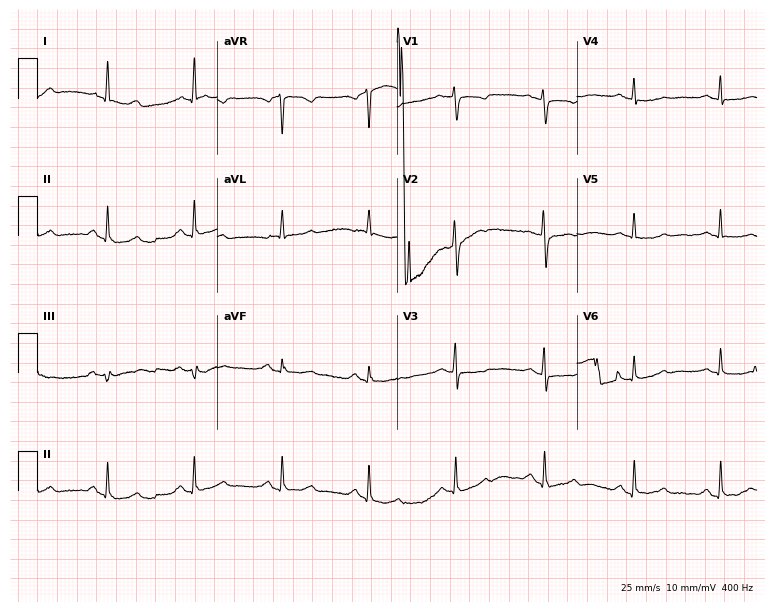
Standard 12-lead ECG recorded from a 66-year-old woman (7.3-second recording at 400 Hz). Read as a normal ECG.